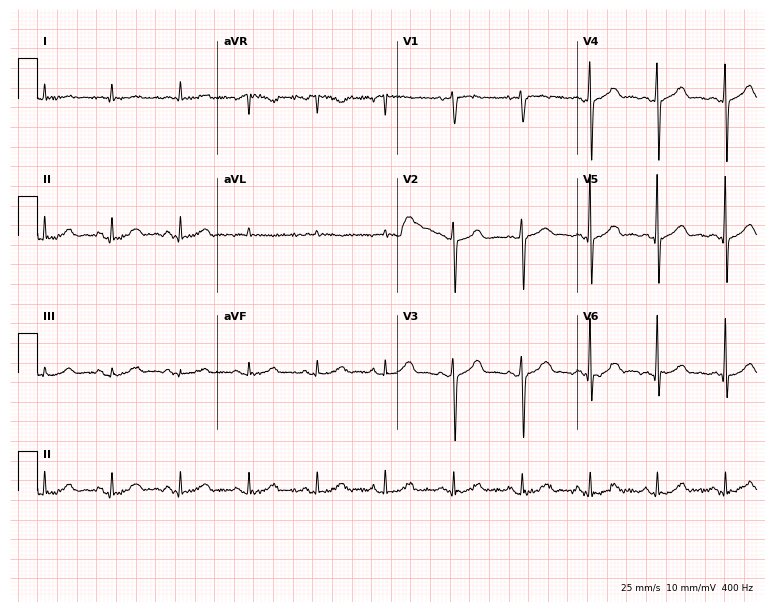
ECG (7.3-second recording at 400 Hz) — a 77-year-old male. Screened for six findings — first-degree AV block, right bundle branch block, left bundle branch block, sinus bradycardia, atrial fibrillation, sinus tachycardia — none is recorded.